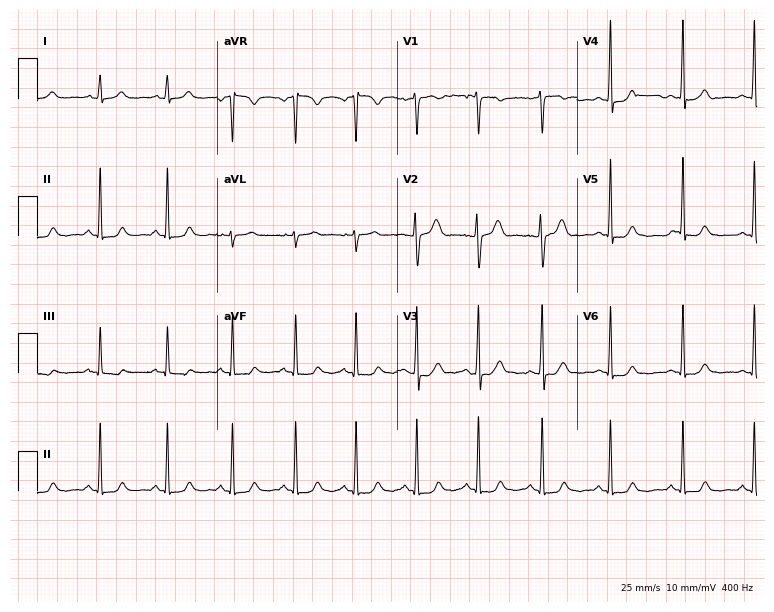
Electrocardiogram (7.3-second recording at 400 Hz), a female, 35 years old. Overall reading on record: normal ECG.